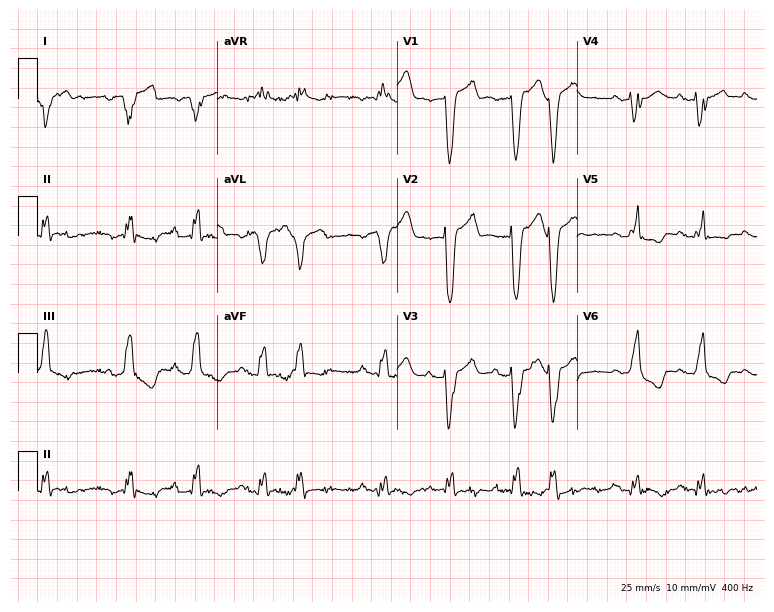
12-lead ECG from a 69-year-old woman. No first-degree AV block, right bundle branch block (RBBB), left bundle branch block (LBBB), sinus bradycardia, atrial fibrillation (AF) or sinus tachycardia recorded for this tracing. Other findings, if any, are not listed.